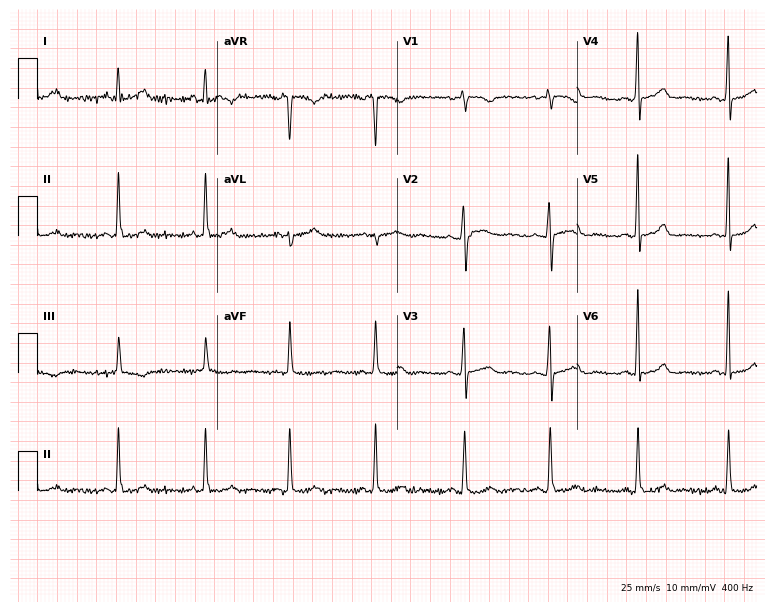
Electrocardiogram (7.3-second recording at 400 Hz), a 32-year-old female patient. Overall reading on record: normal ECG.